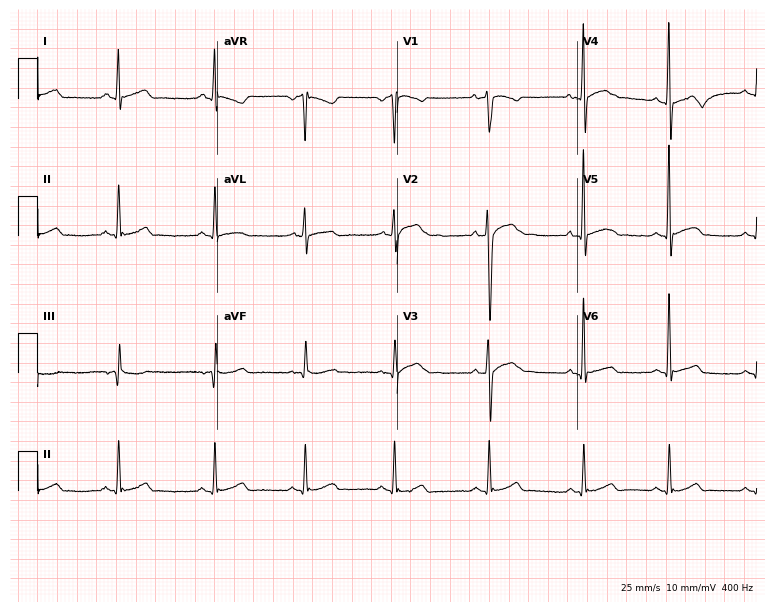
12-lead ECG from an 18-year-old man. Recorded interpretation: within normal limits.